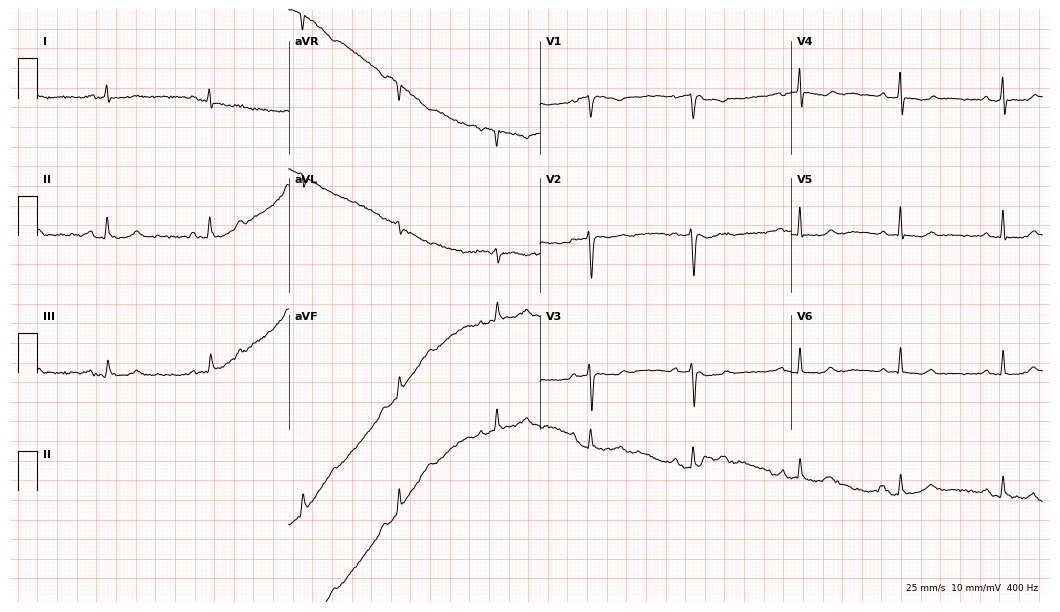
Electrocardiogram, a woman, 48 years old. Of the six screened findings (first-degree AV block, right bundle branch block, left bundle branch block, sinus bradycardia, atrial fibrillation, sinus tachycardia), none is recorded. Other findings, if any, are not listed.